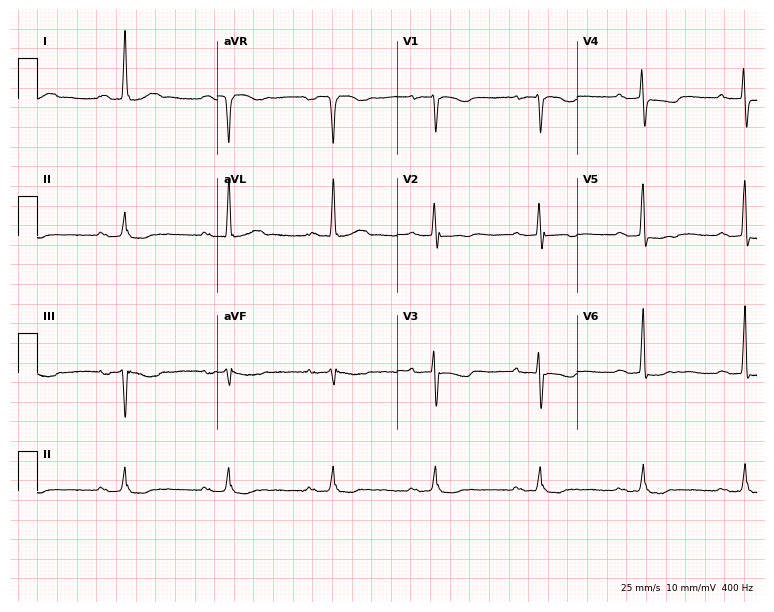
ECG (7.3-second recording at 400 Hz) — a woman, 52 years old. Screened for six findings — first-degree AV block, right bundle branch block, left bundle branch block, sinus bradycardia, atrial fibrillation, sinus tachycardia — none is recorded. Findings outside these six are not listed.